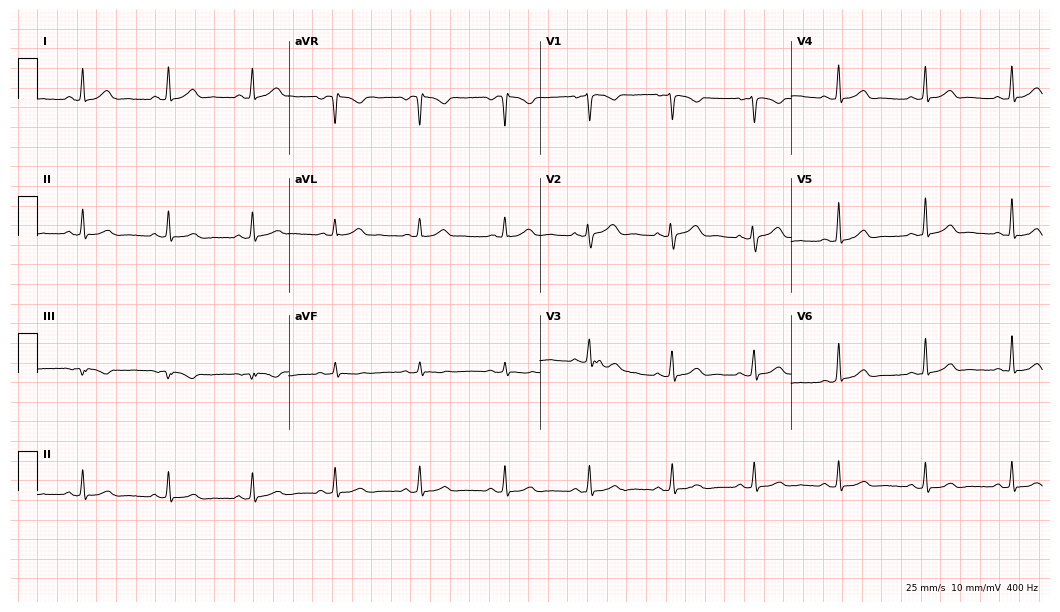
ECG — a 53-year-old female patient. Labelled as a normal ECG.